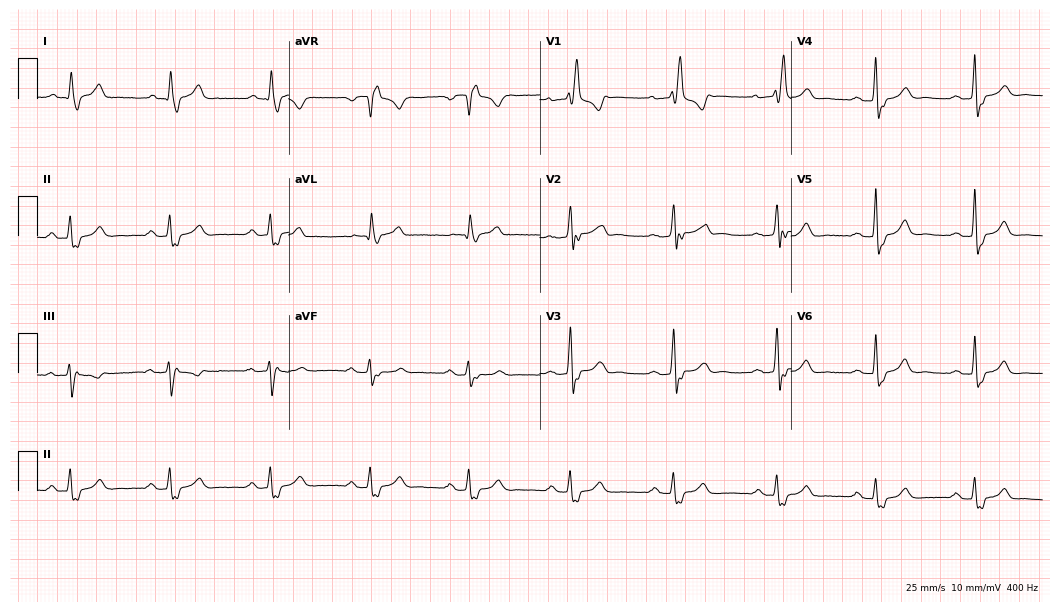
12-lead ECG from a male patient, 57 years old. Screened for six findings — first-degree AV block, right bundle branch block, left bundle branch block, sinus bradycardia, atrial fibrillation, sinus tachycardia — none is recorded.